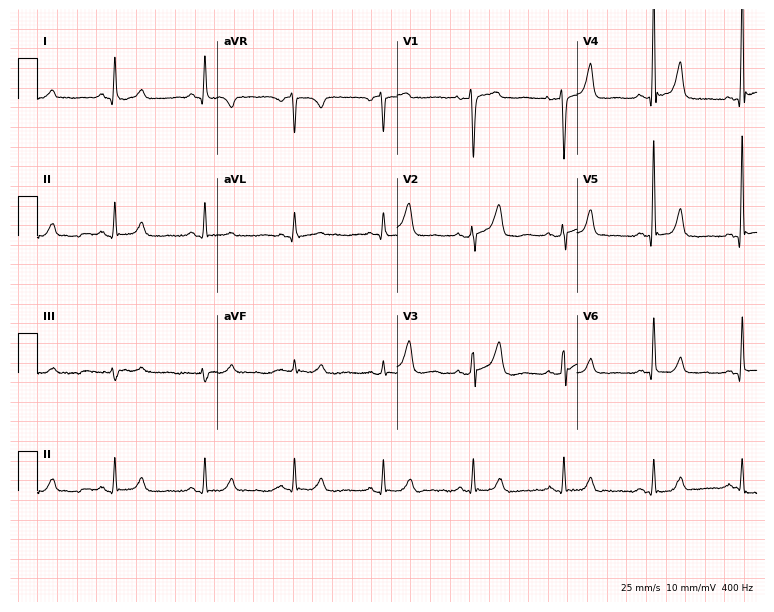
Electrocardiogram (7.3-second recording at 400 Hz), a 61-year-old female patient. Of the six screened findings (first-degree AV block, right bundle branch block, left bundle branch block, sinus bradycardia, atrial fibrillation, sinus tachycardia), none is recorded.